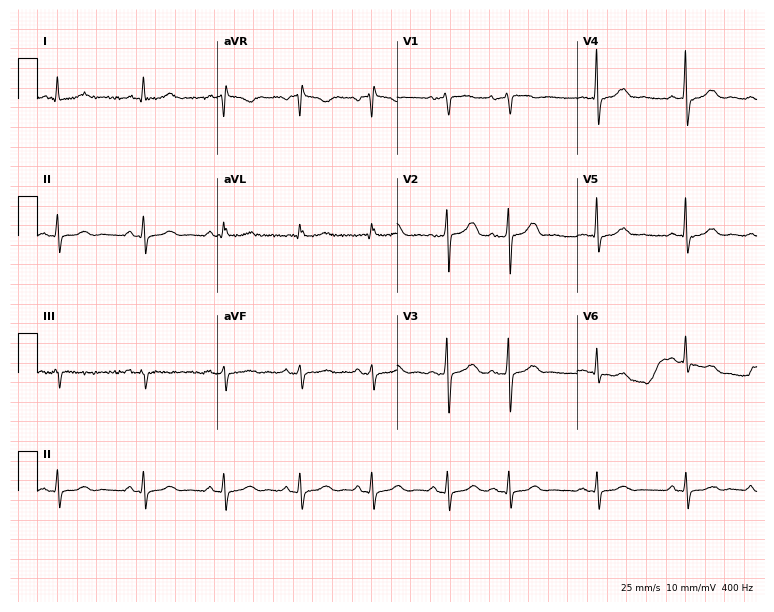
12-lead ECG from an 80-year-old female patient (7.3-second recording at 400 Hz). No first-degree AV block, right bundle branch block, left bundle branch block, sinus bradycardia, atrial fibrillation or sinus tachycardia recorded for this tracing.